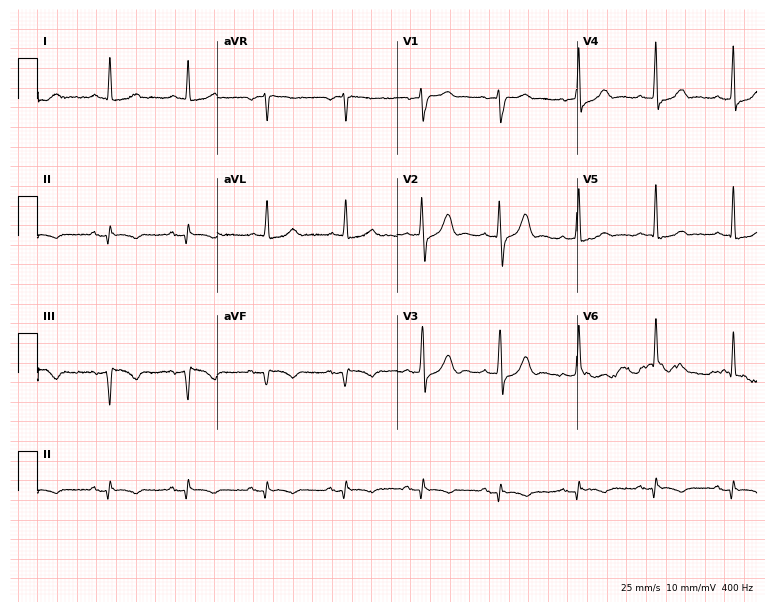
ECG (7.3-second recording at 400 Hz) — a male, 73 years old. Screened for six findings — first-degree AV block, right bundle branch block, left bundle branch block, sinus bradycardia, atrial fibrillation, sinus tachycardia — none is recorded.